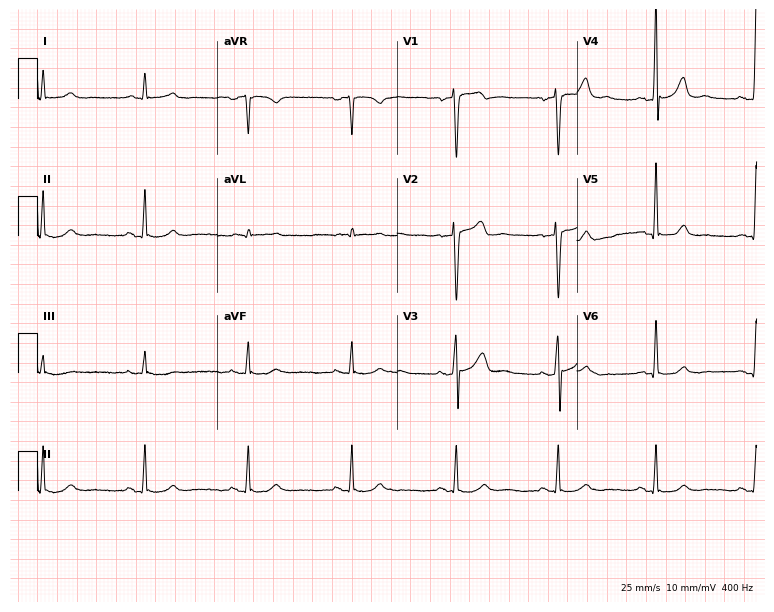
12-lead ECG from a male, 45 years old. Screened for six findings — first-degree AV block, right bundle branch block, left bundle branch block, sinus bradycardia, atrial fibrillation, sinus tachycardia — none is recorded.